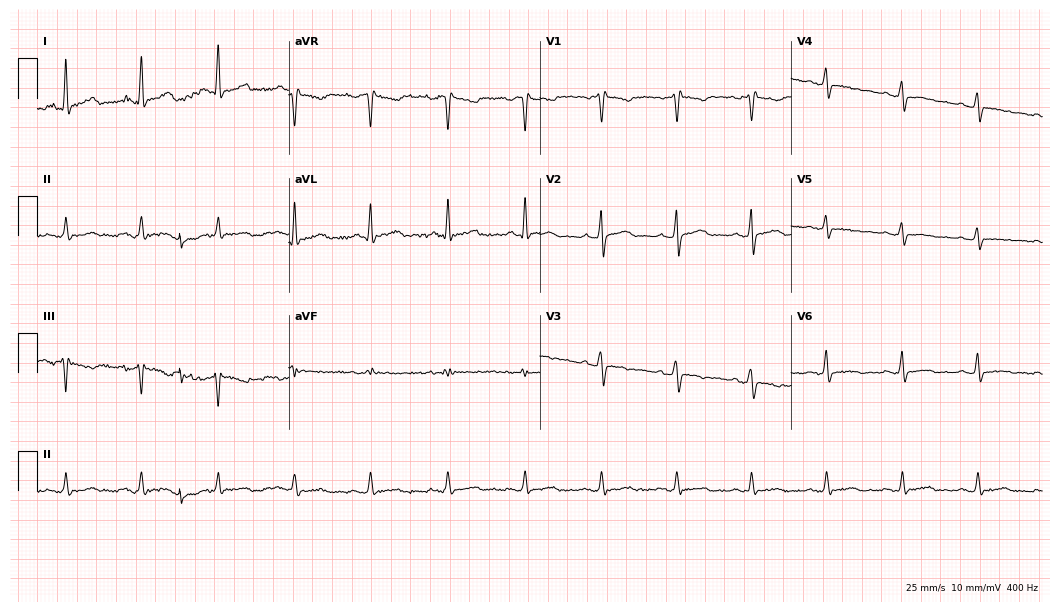
12-lead ECG (10.2-second recording at 400 Hz) from a 53-year-old male. Screened for six findings — first-degree AV block, right bundle branch block, left bundle branch block, sinus bradycardia, atrial fibrillation, sinus tachycardia — none is recorded.